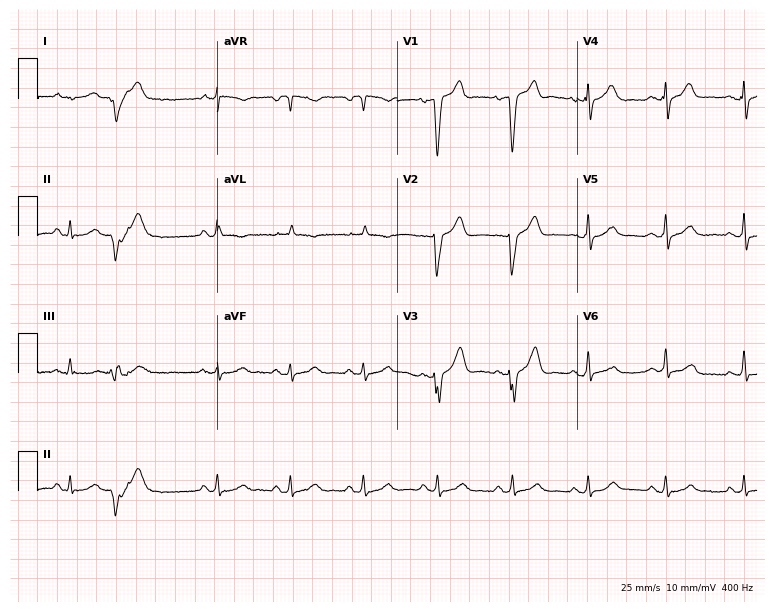
Electrocardiogram, an 85-year-old male patient. Of the six screened findings (first-degree AV block, right bundle branch block (RBBB), left bundle branch block (LBBB), sinus bradycardia, atrial fibrillation (AF), sinus tachycardia), none is recorded. Other findings, if any, are not listed.